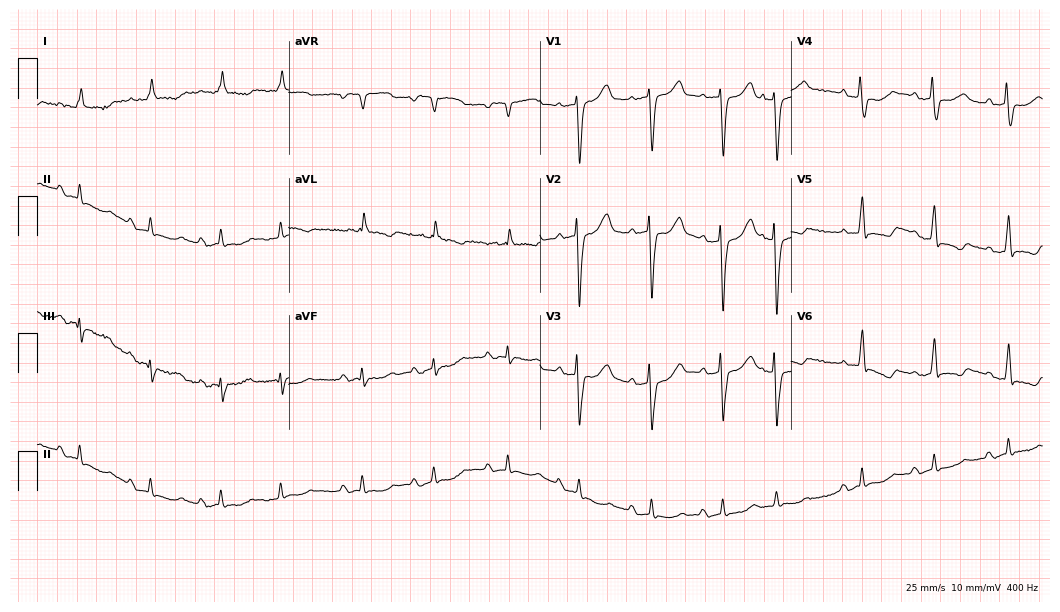
12-lead ECG (10.2-second recording at 400 Hz) from a 76-year-old man. Screened for six findings — first-degree AV block, right bundle branch block, left bundle branch block, sinus bradycardia, atrial fibrillation, sinus tachycardia — none is recorded. Other findings, if any, are not listed.